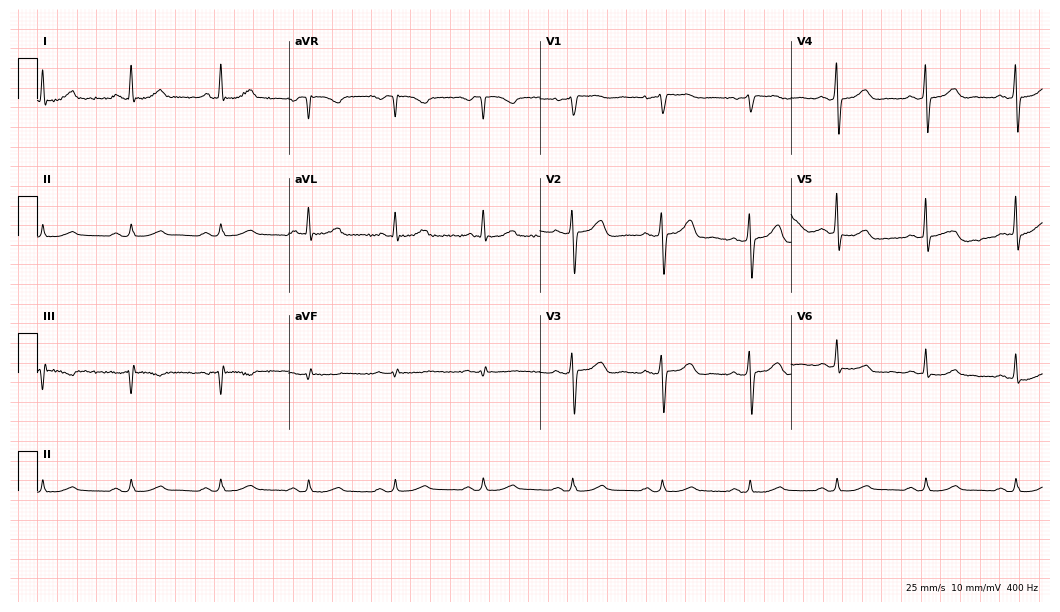
Standard 12-lead ECG recorded from a male patient, 75 years old (10.2-second recording at 400 Hz). Read as a normal ECG.